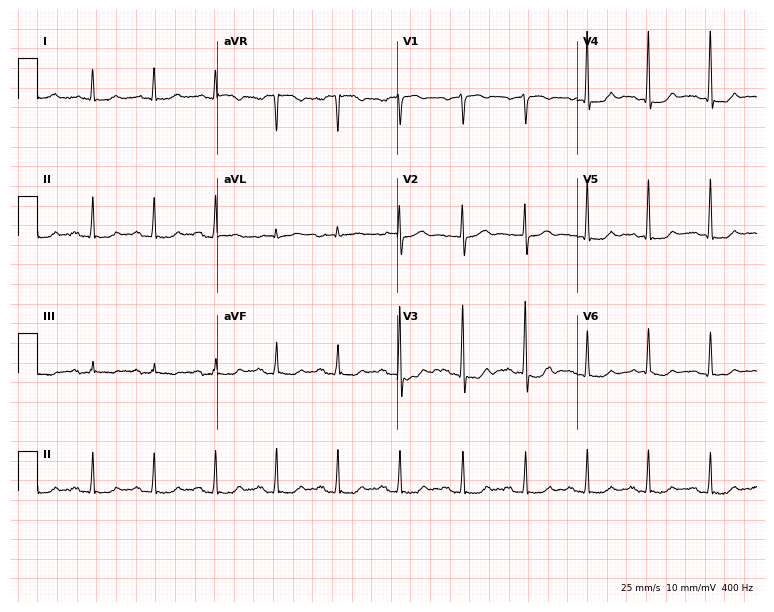
12-lead ECG (7.3-second recording at 400 Hz) from a male patient, 71 years old. Screened for six findings — first-degree AV block, right bundle branch block (RBBB), left bundle branch block (LBBB), sinus bradycardia, atrial fibrillation (AF), sinus tachycardia — none is recorded.